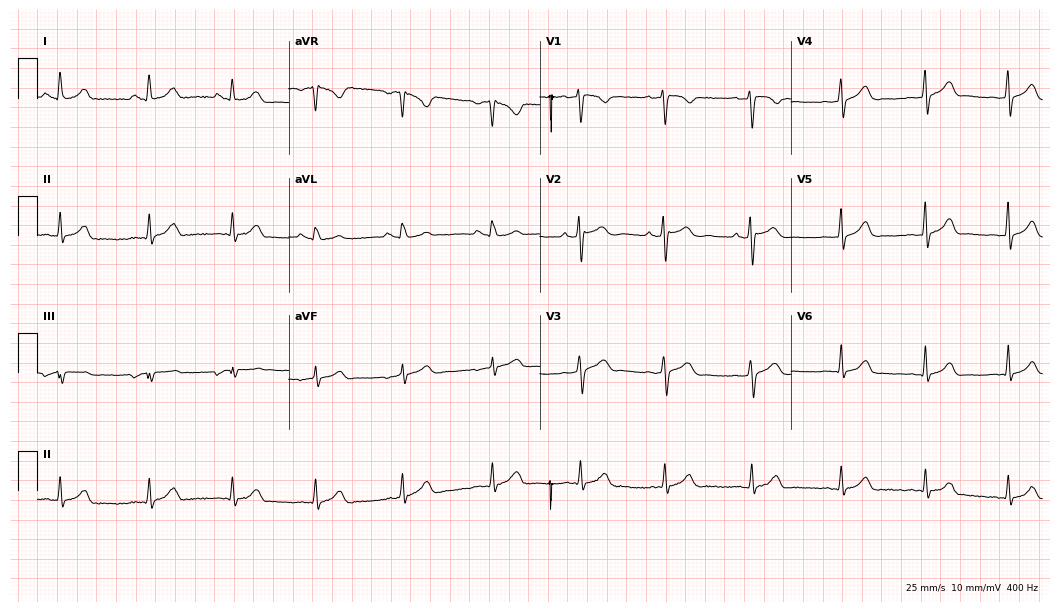
Standard 12-lead ECG recorded from a woman, 22 years old. Read as a normal ECG.